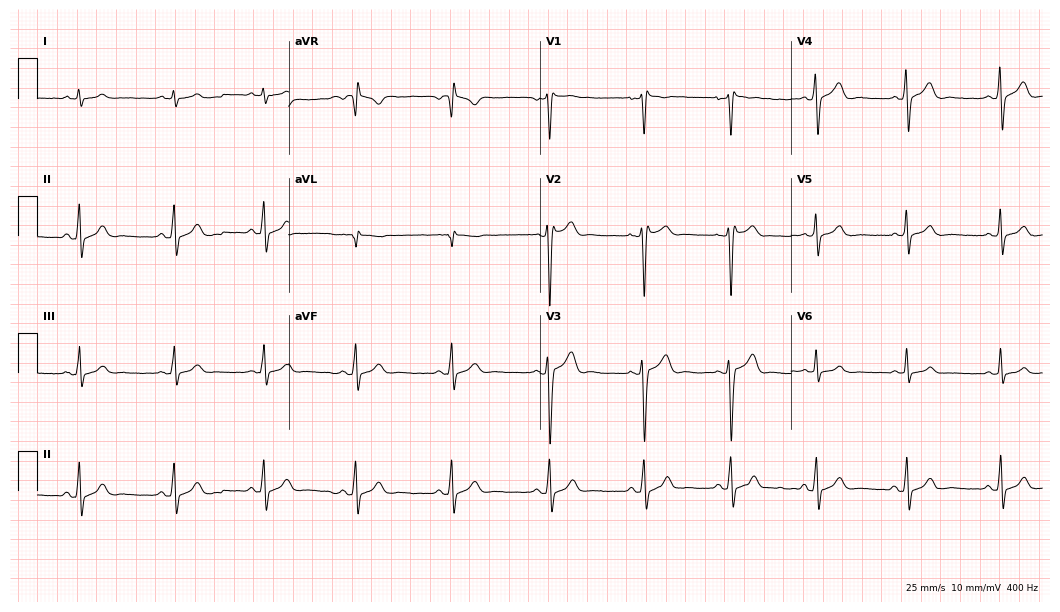
12-lead ECG from a 22-year-old male. Labelled as a normal ECG.